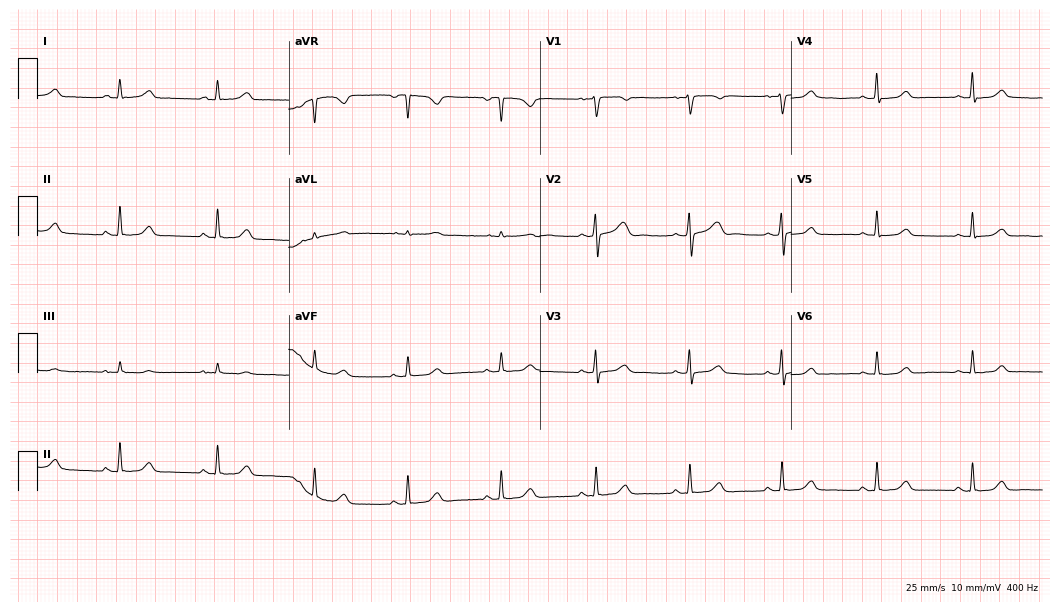
12-lead ECG from a 46-year-old female (10.2-second recording at 400 Hz). Recorded interpretation: within normal limits.